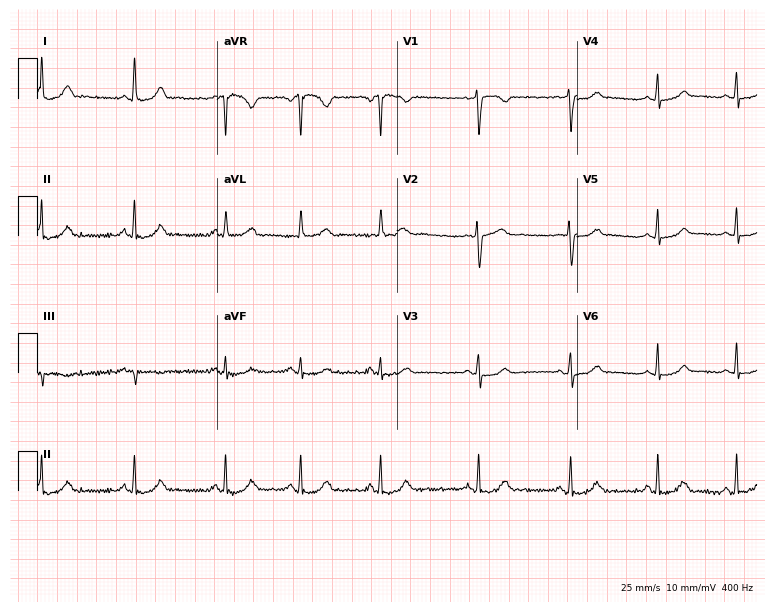
Electrocardiogram, a 43-year-old female. Overall reading on record: normal ECG.